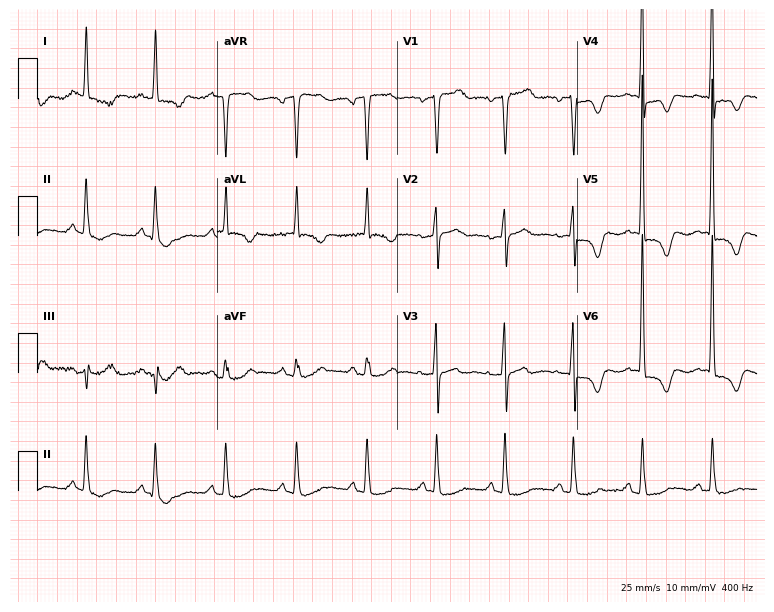
12-lead ECG from an 80-year-old female (7.3-second recording at 400 Hz). No first-degree AV block, right bundle branch block (RBBB), left bundle branch block (LBBB), sinus bradycardia, atrial fibrillation (AF) or sinus tachycardia recorded for this tracing.